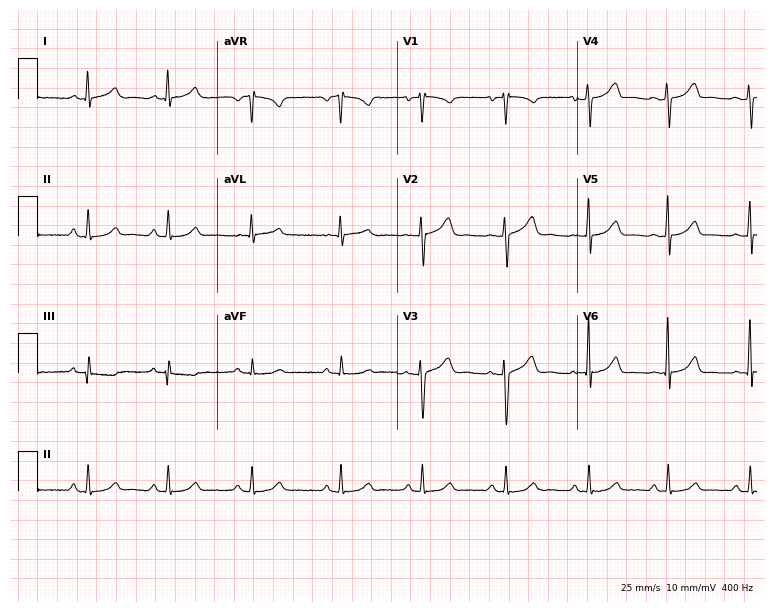
ECG — a woman, 41 years old. Labelled as a normal ECG.